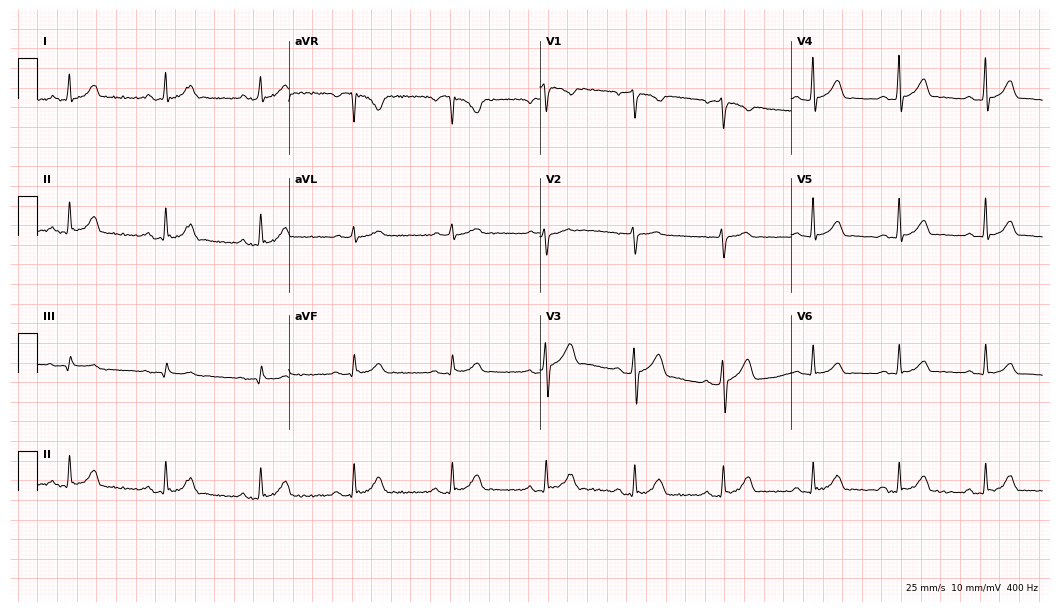
Standard 12-lead ECG recorded from a male patient, 32 years old. Read as a normal ECG.